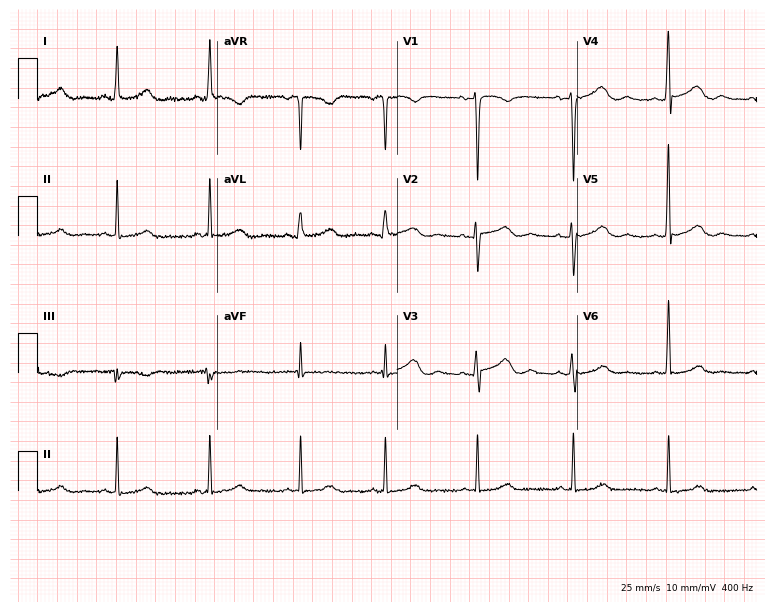
12-lead ECG from a 21-year-old female (7.3-second recording at 400 Hz). No first-degree AV block, right bundle branch block, left bundle branch block, sinus bradycardia, atrial fibrillation or sinus tachycardia recorded for this tracing.